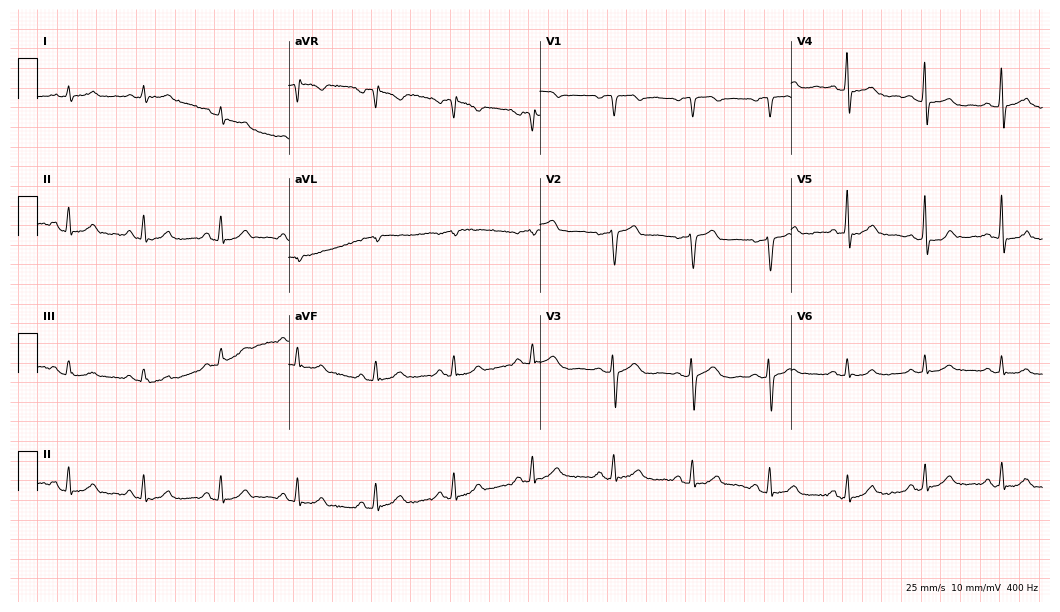
Resting 12-lead electrocardiogram. Patient: a 54-year-old male. None of these six findings is recorded: first-degree AV block, right bundle branch block, left bundle branch block, sinus bradycardia, atrial fibrillation, sinus tachycardia. Only these six findings were labelled.